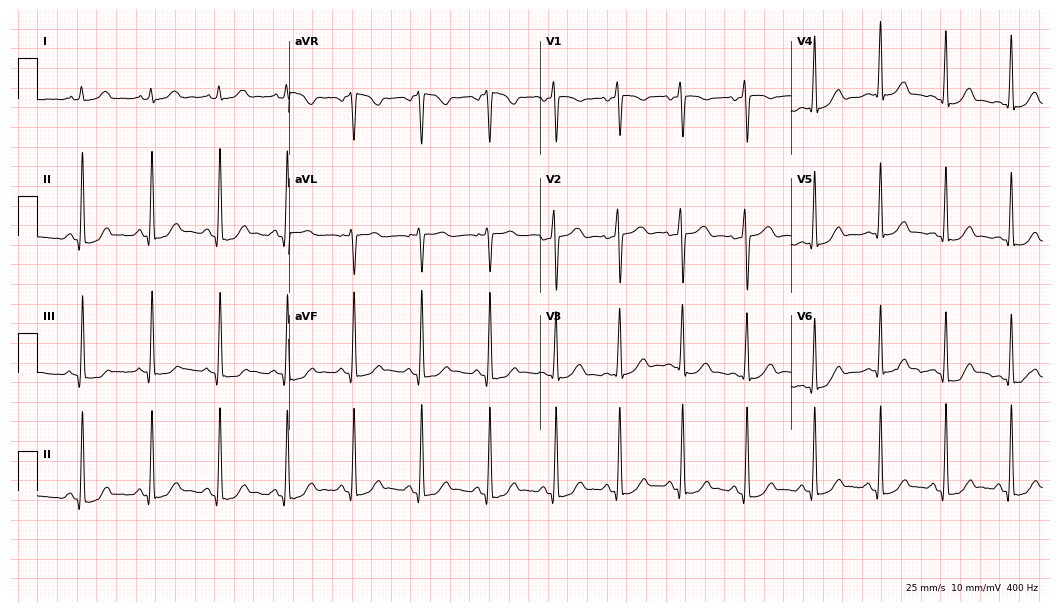
ECG (10.2-second recording at 400 Hz) — a woman, 30 years old. Screened for six findings — first-degree AV block, right bundle branch block, left bundle branch block, sinus bradycardia, atrial fibrillation, sinus tachycardia — none is recorded. Other findings, if any, are not listed.